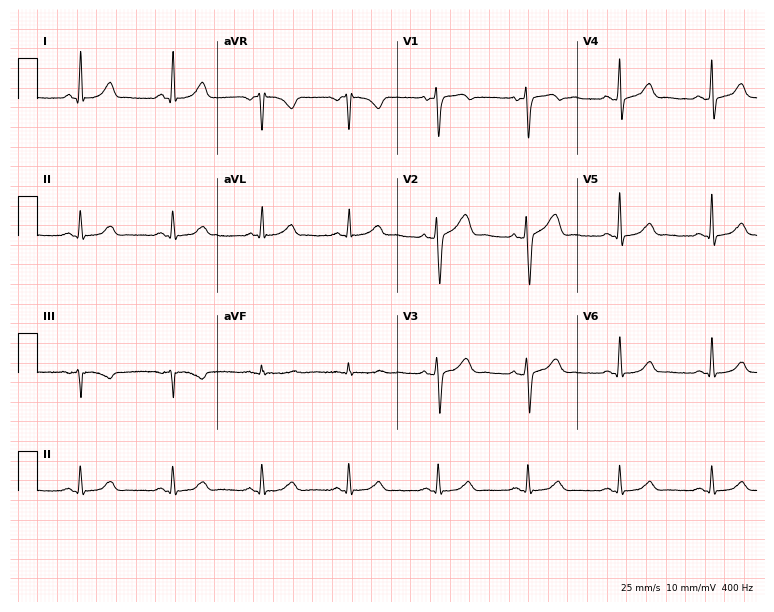
ECG (7.3-second recording at 400 Hz) — a male patient, 44 years old. Labelled as a normal ECG.